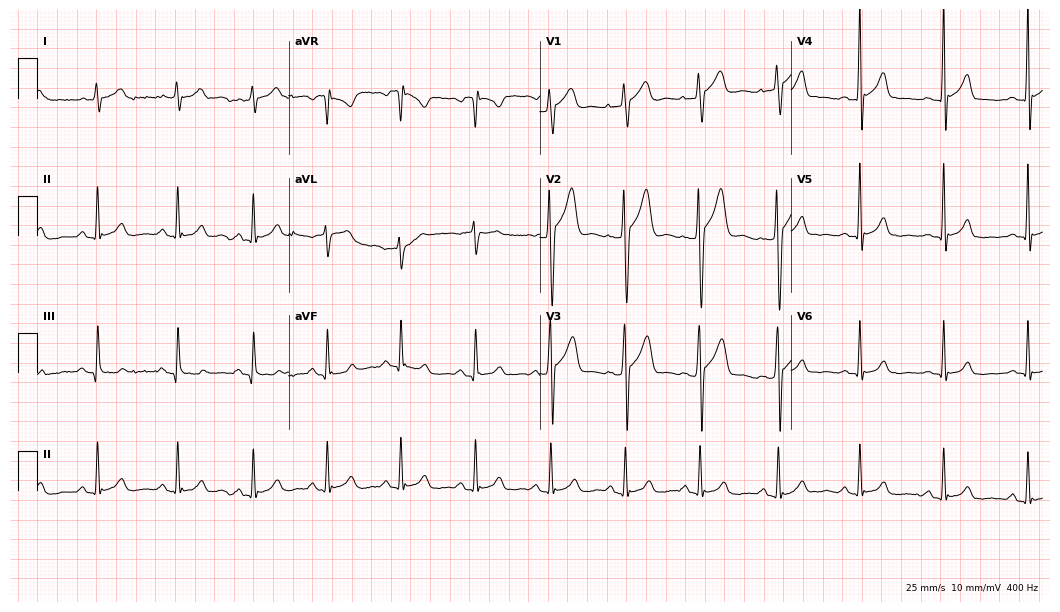
Resting 12-lead electrocardiogram. Patient: a male, 22 years old. Read as a normal ECG.